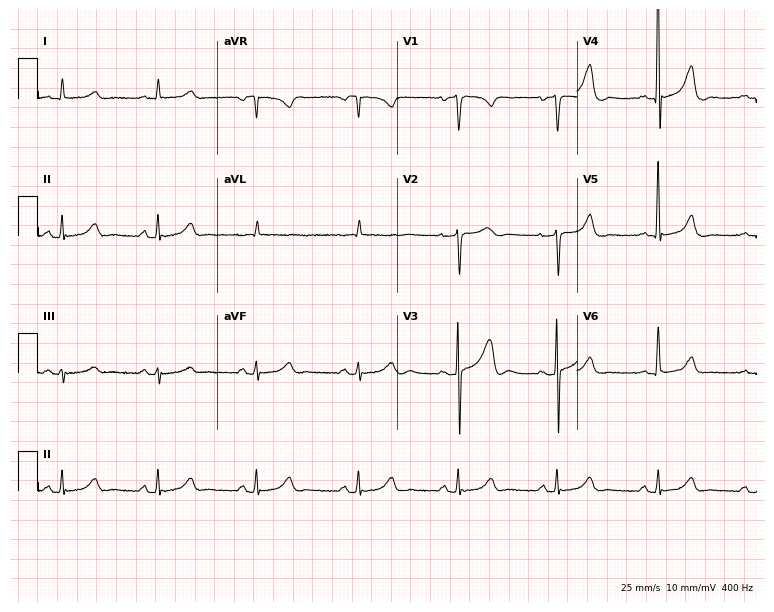
12-lead ECG from a 39-year-old woman. Labelled as a normal ECG.